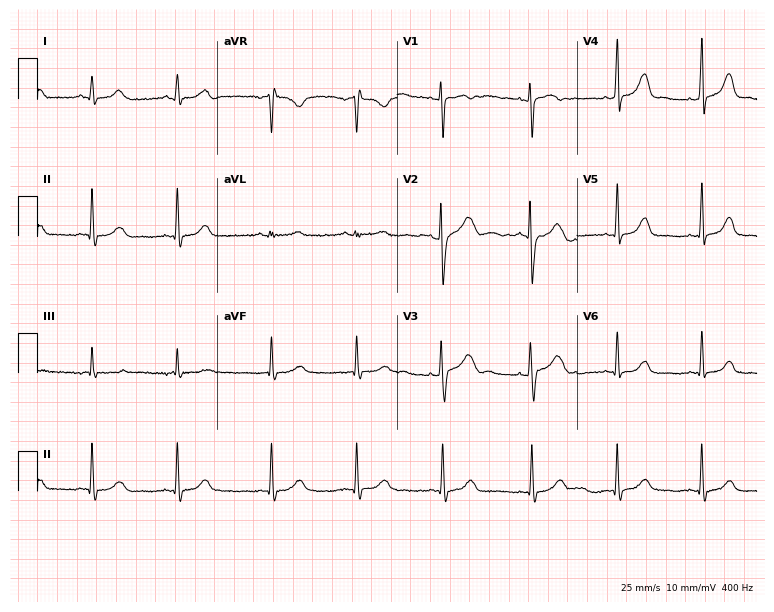
Electrocardiogram, a 19-year-old female. Overall reading on record: normal ECG.